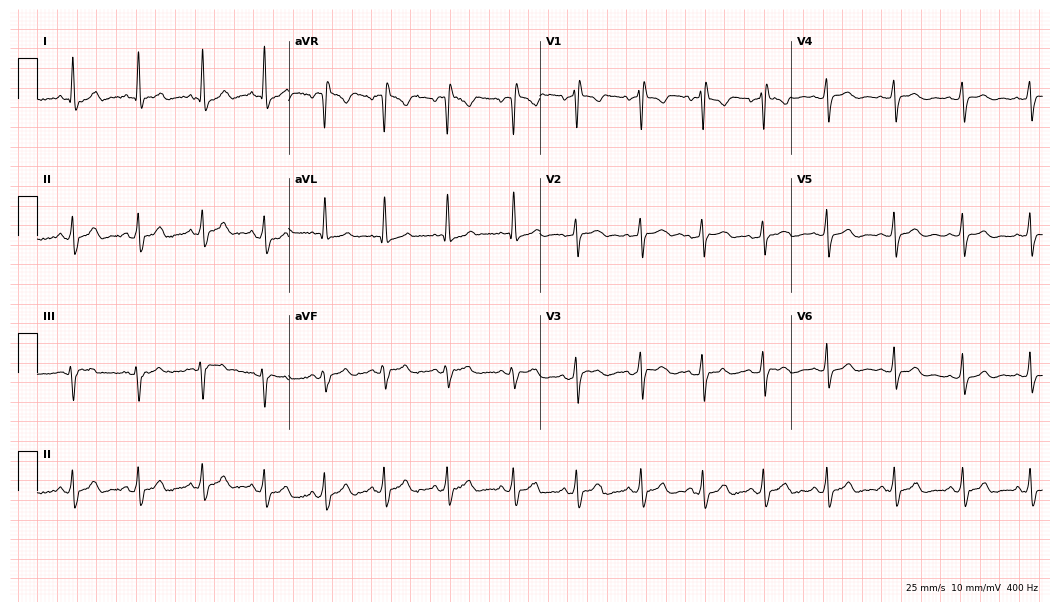
12-lead ECG (10.2-second recording at 400 Hz) from a female patient, 52 years old. Screened for six findings — first-degree AV block, right bundle branch block, left bundle branch block, sinus bradycardia, atrial fibrillation, sinus tachycardia — none is recorded. Only these six findings were labelled.